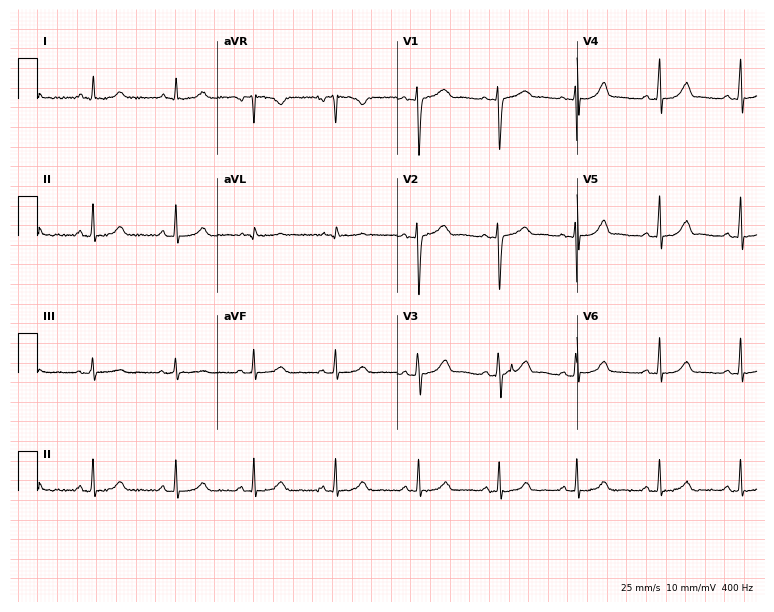
12-lead ECG from a female patient, 30 years old. Labelled as a normal ECG.